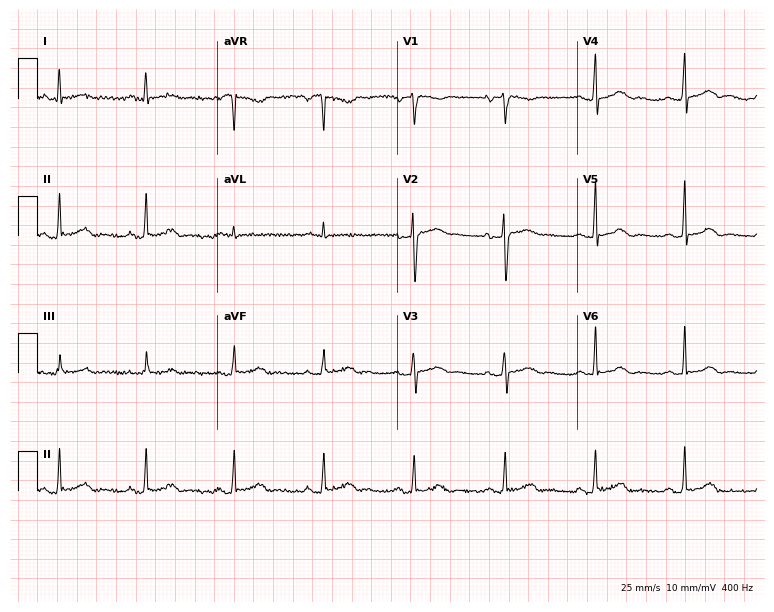
Standard 12-lead ECG recorded from a woman, 48 years old. Read as a normal ECG.